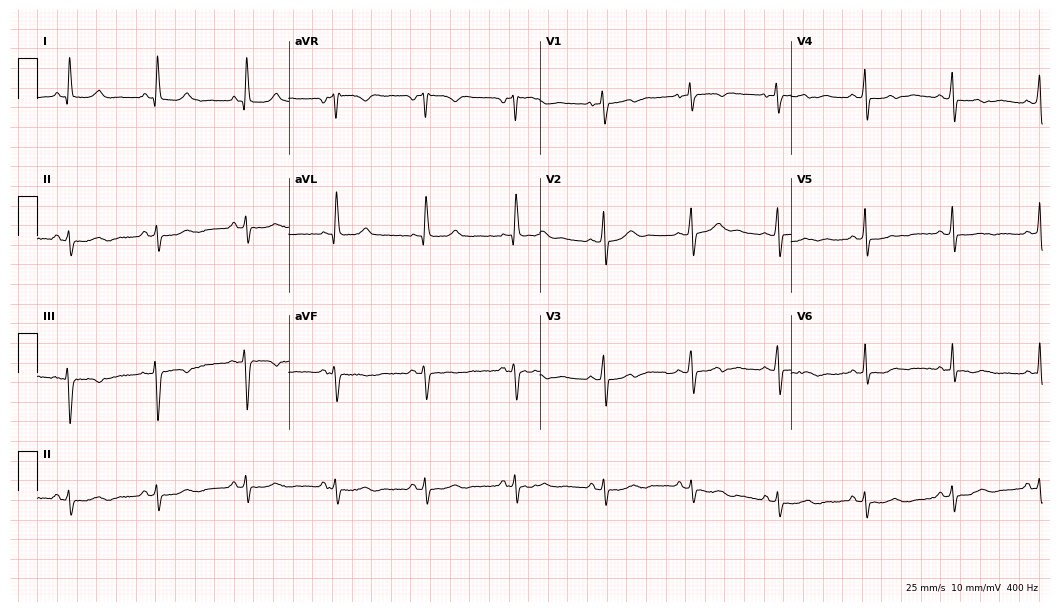
Resting 12-lead electrocardiogram. Patient: a female, 42 years old. None of these six findings is recorded: first-degree AV block, right bundle branch block (RBBB), left bundle branch block (LBBB), sinus bradycardia, atrial fibrillation (AF), sinus tachycardia. Findings outside these six are not listed.